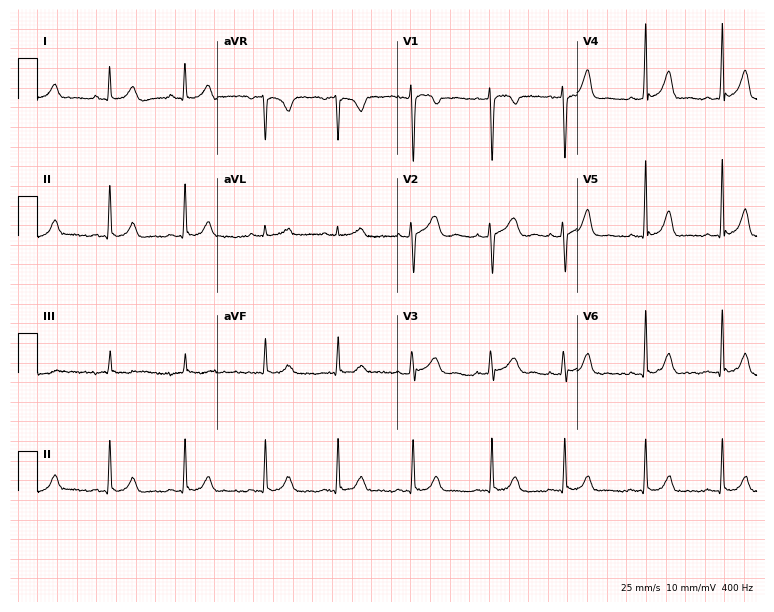
ECG — a 22-year-old woman. Labelled as a normal ECG.